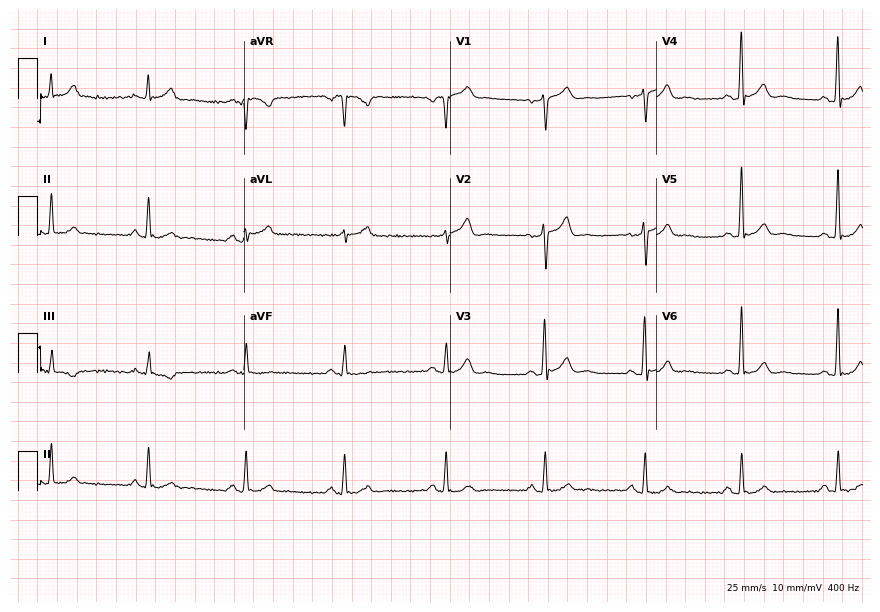
ECG — a 45-year-old male. Labelled as a normal ECG.